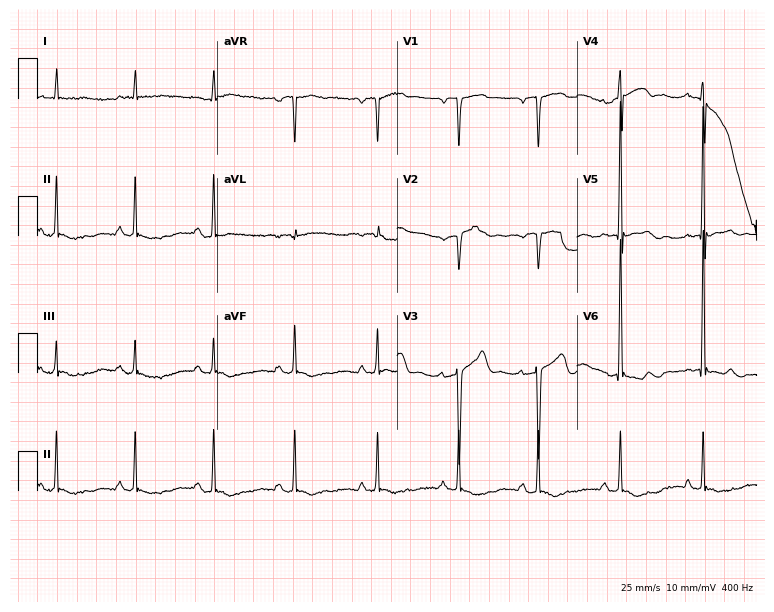
12-lead ECG from a 69-year-old male patient (7.3-second recording at 400 Hz). No first-degree AV block, right bundle branch block, left bundle branch block, sinus bradycardia, atrial fibrillation or sinus tachycardia recorded for this tracing.